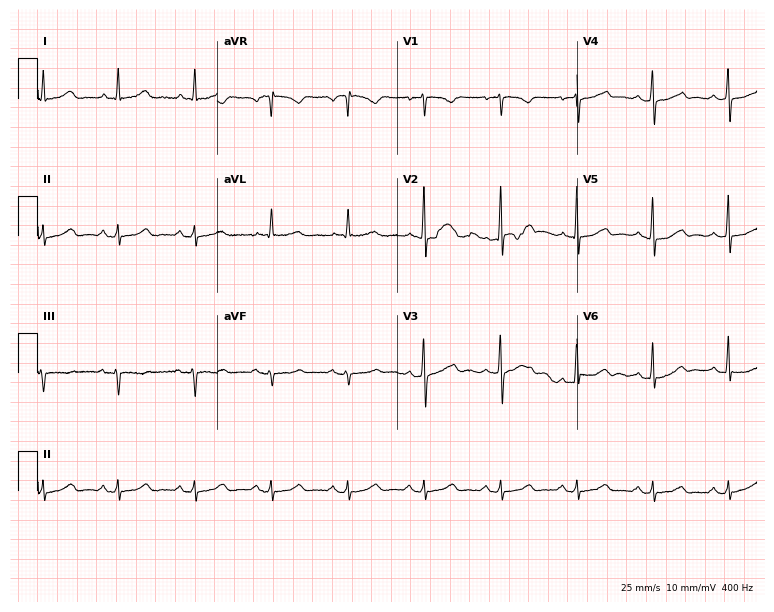
12-lead ECG from a 70-year-old female patient (7.3-second recording at 400 Hz). Recorded interpretation: within normal limits.